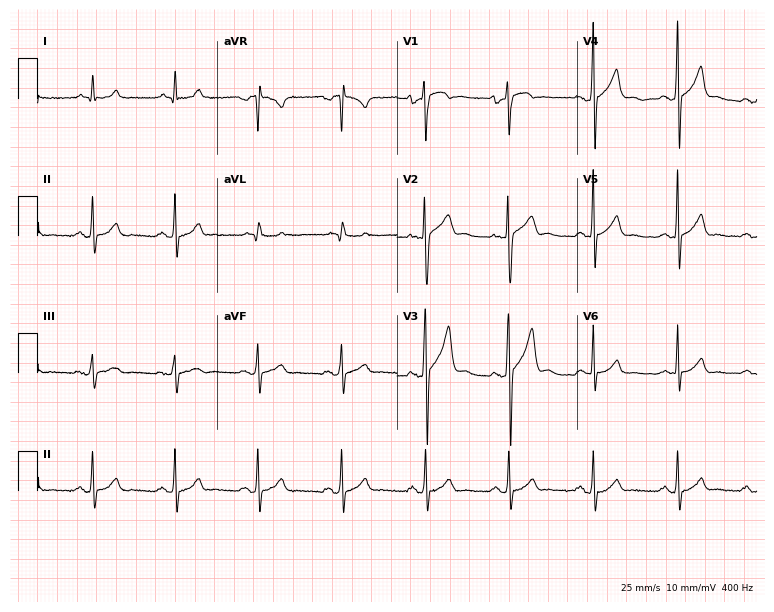
12-lead ECG (7.3-second recording at 400 Hz) from a male patient, 49 years old. Screened for six findings — first-degree AV block, right bundle branch block, left bundle branch block, sinus bradycardia, atrial fibrillation, sinus tachycardia — none is recorded. Other findings, if any, are not listed.